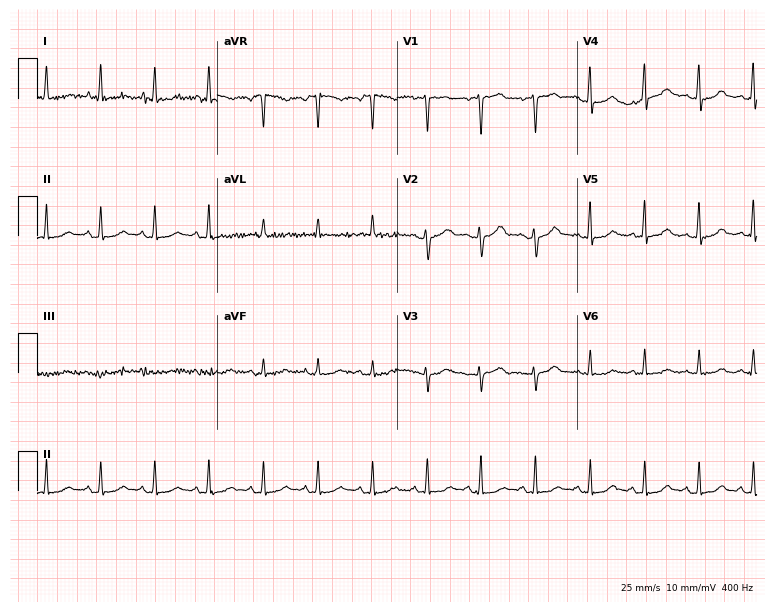
Resting 12-lead electrocardiogram. Patient: a 53-year-old woman. The tracing shows sinus tachycardia (a sinus rate of 100 beats per minute or more).